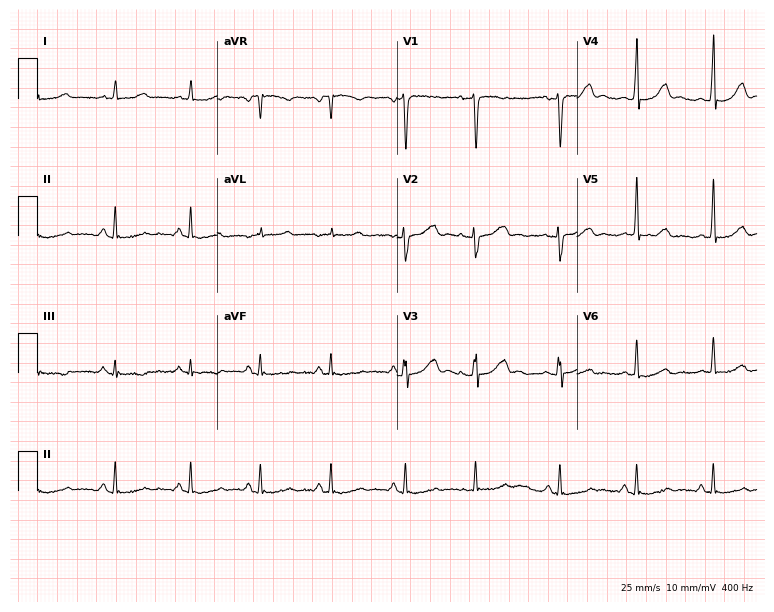
12-lead ECG from a 33-year-old woman. Labelled as a normal ECG.